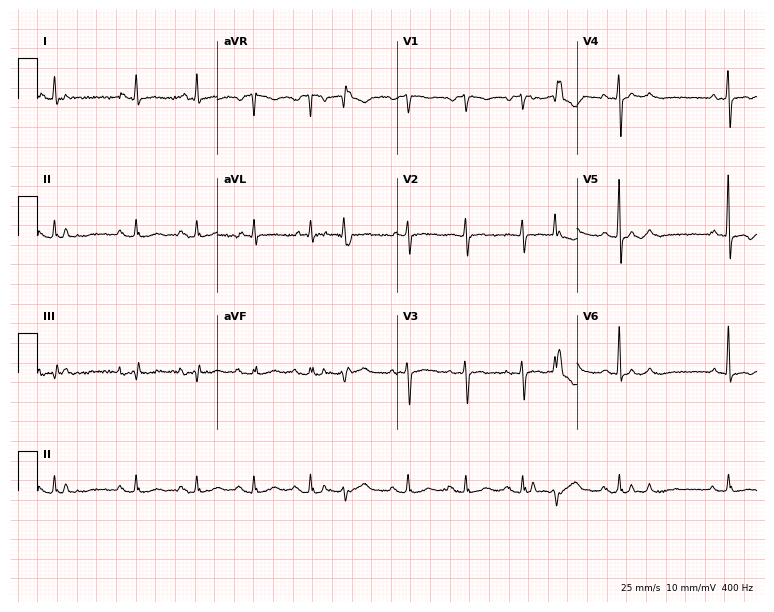
12-lead ECG from a 71-year-old woman. Screened for six findings — first-degree AV block, right bundle branch block (RBBB), left bundle branch block (LBBB), sinus bradycardia, atrial fibrillation (AF), sinus tachycardia — none is recorded. Findings outside these six are not listed.